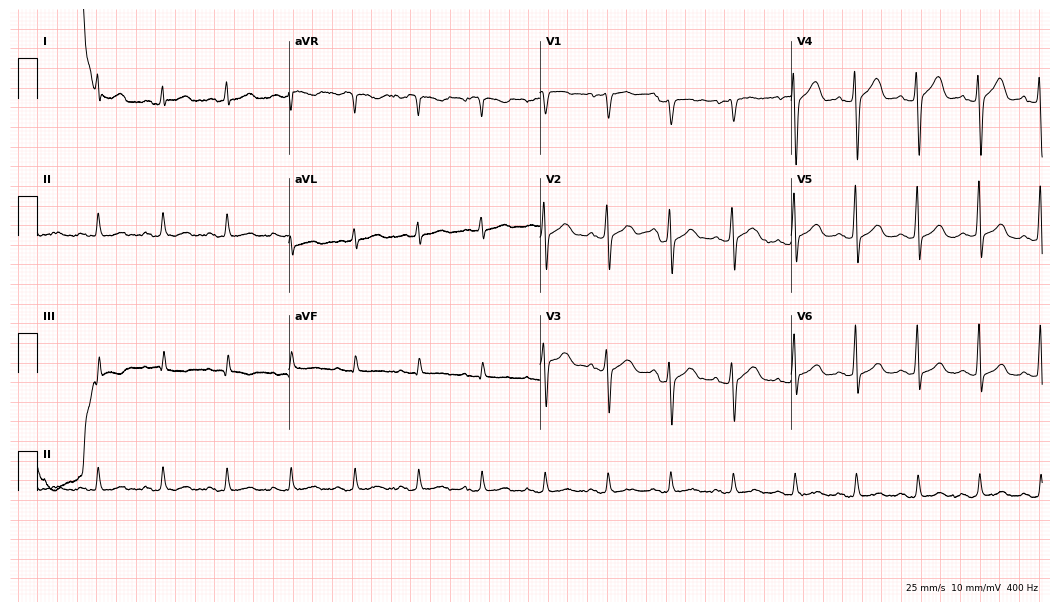
ECG — a 26-year-old male. Labelled as a normal ECG.